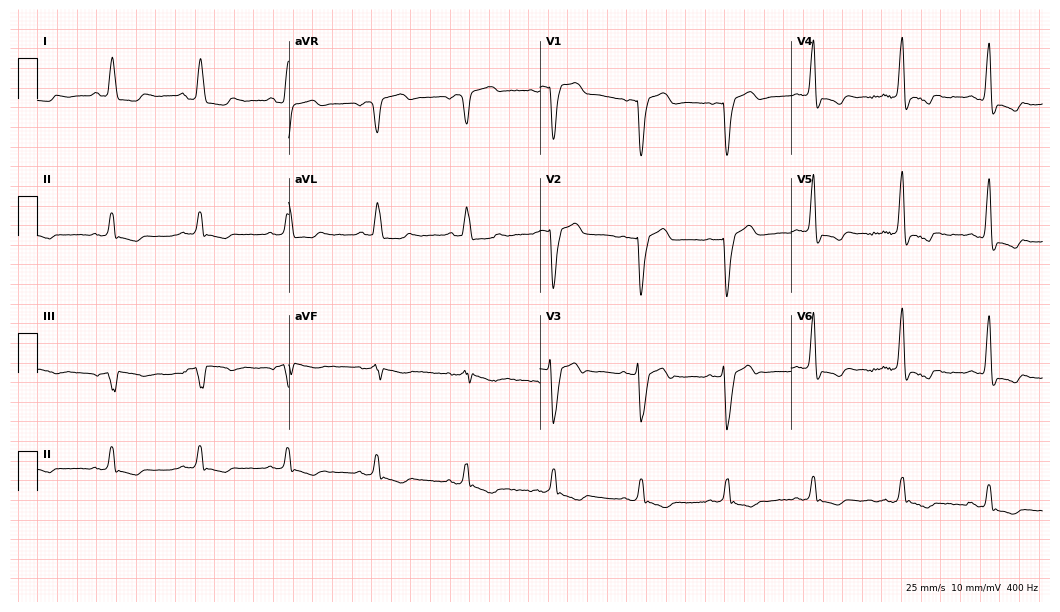
ECG — a male patient, 65 years old. Findings include left bundle branch block.